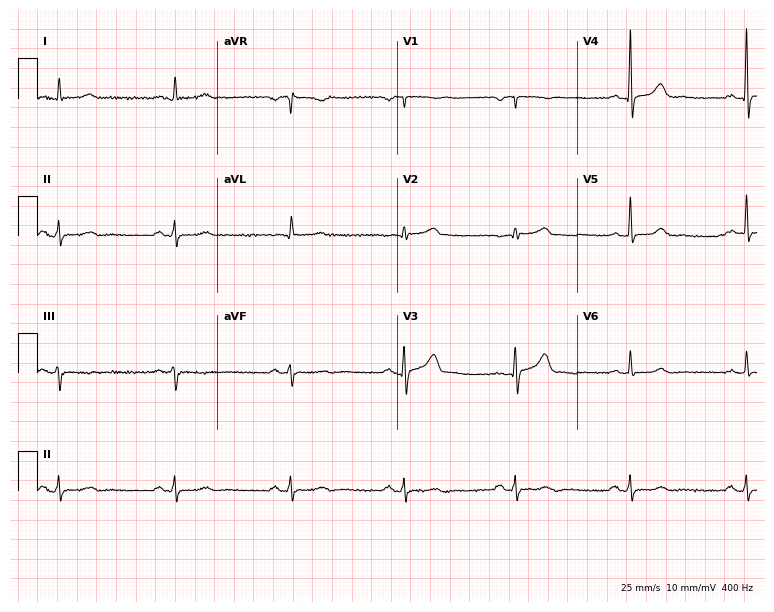
ECG (7.3-second recording at 400 Hz) — a male, 50 years old. Findings include sinus bradycardia (a sinus rate of 50 beats per minute or less).